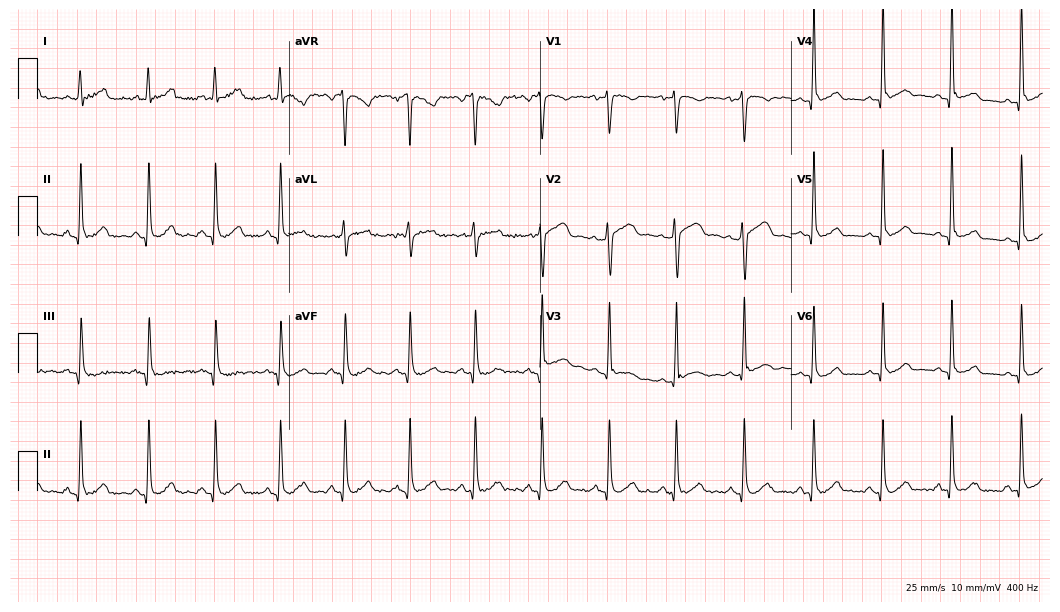
ECG — a 35-year-old male patient. Labelled as a normal ECG.